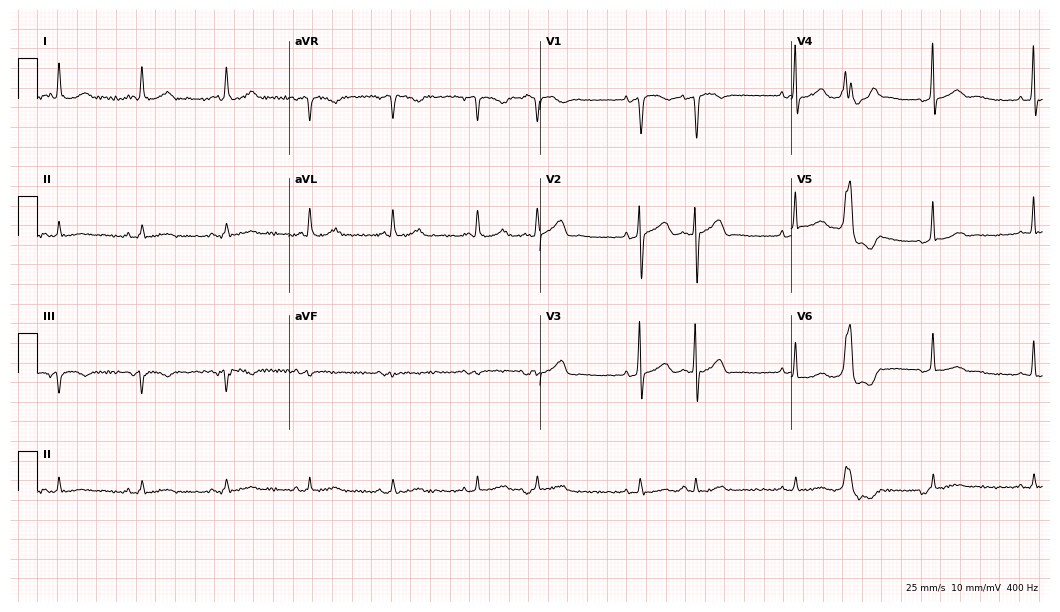
12-lead ECG from a man, 68 years old. Recorded interpretation: within normal limits.